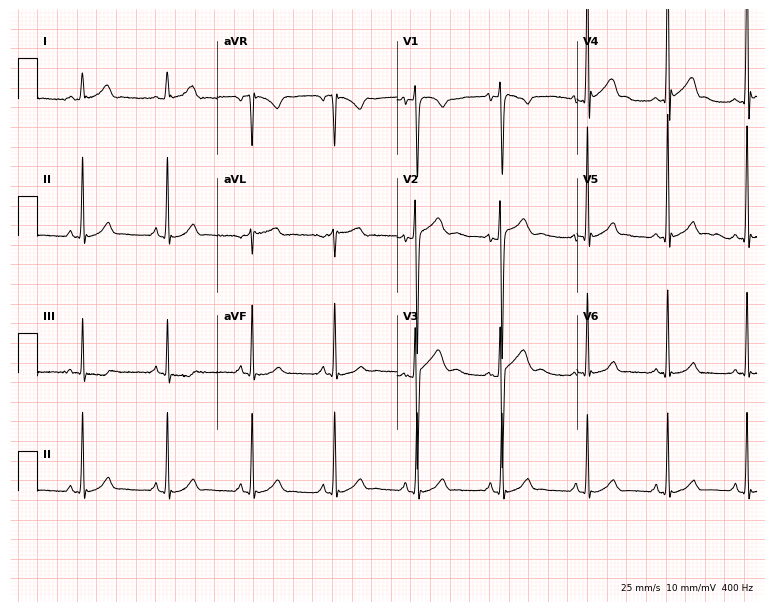
Electrocardiogram (7.3-second recording at 400 Hz), a man, 17 years old. Overall reading on record: normal ECG.